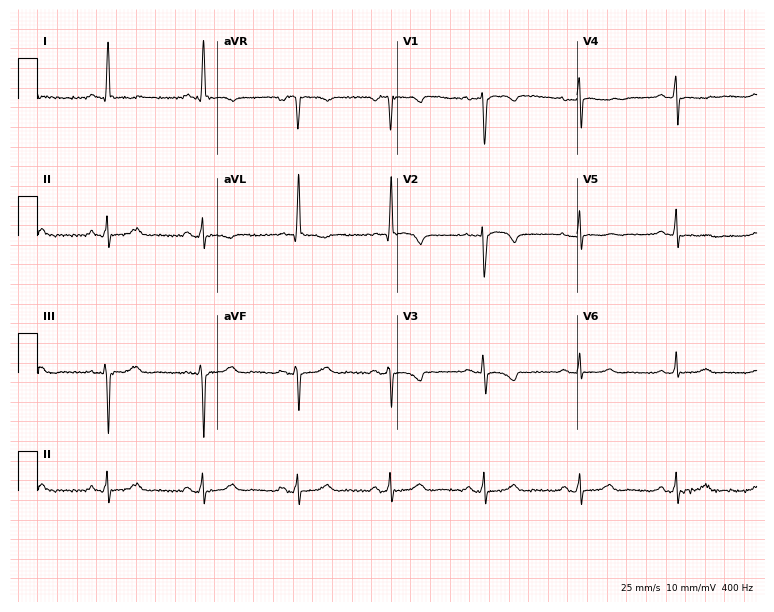
Resting 12-lead electrocardiogram (7.3-second recording at 400 Hz). Patient: a 56-year-old female. None of these six findings is recorded: first-degree AV block, right bundle branch block (RBBB), left bundle branch block (LBBB), sinus bradycardia, atrial fibrillation (AF), sinus tachycardia. Only these six findings were labelled.